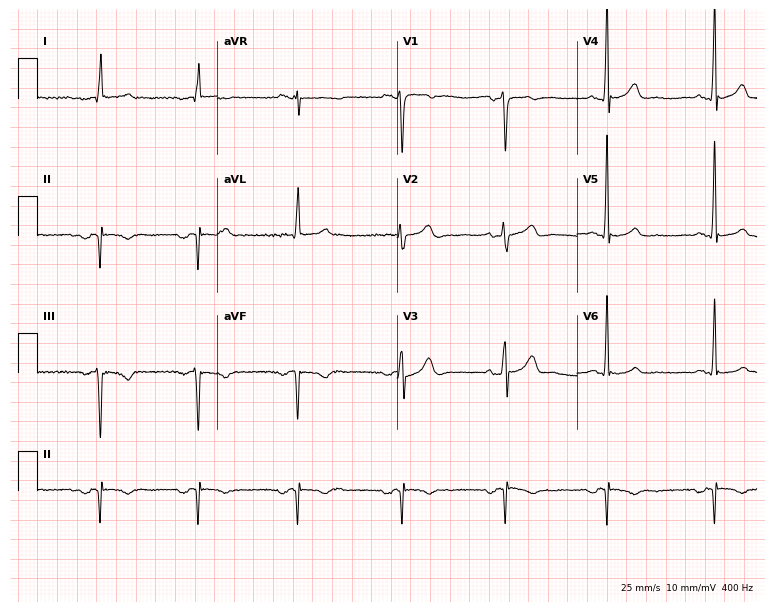
Resting 12-lead electrocardiogram. Patient: a 59-year-old female. None of these six findings is recorded: first-degree AV block, right bundle branch block, left bundle branch block, sinus bradycardia, atrial fibrillation, sinus tachycardia.